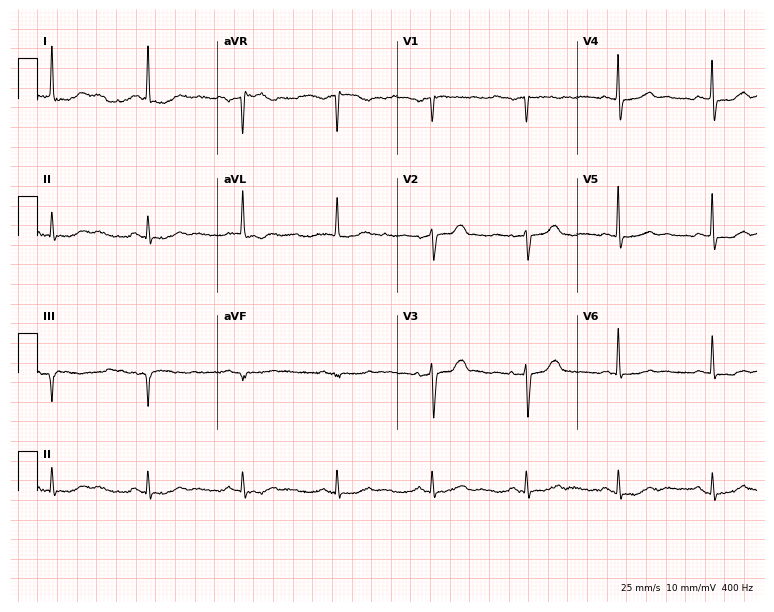
12-lead ECG from an 80-year-old woman. Screened for six findings — first-degree AV block, right bundle branch block (RBBB), left bundle branch block (LBBB), sinus bradycardia, atrial fibrillation (AF), sinus tachycardia — none is recorded. Only these six findings were labelled.